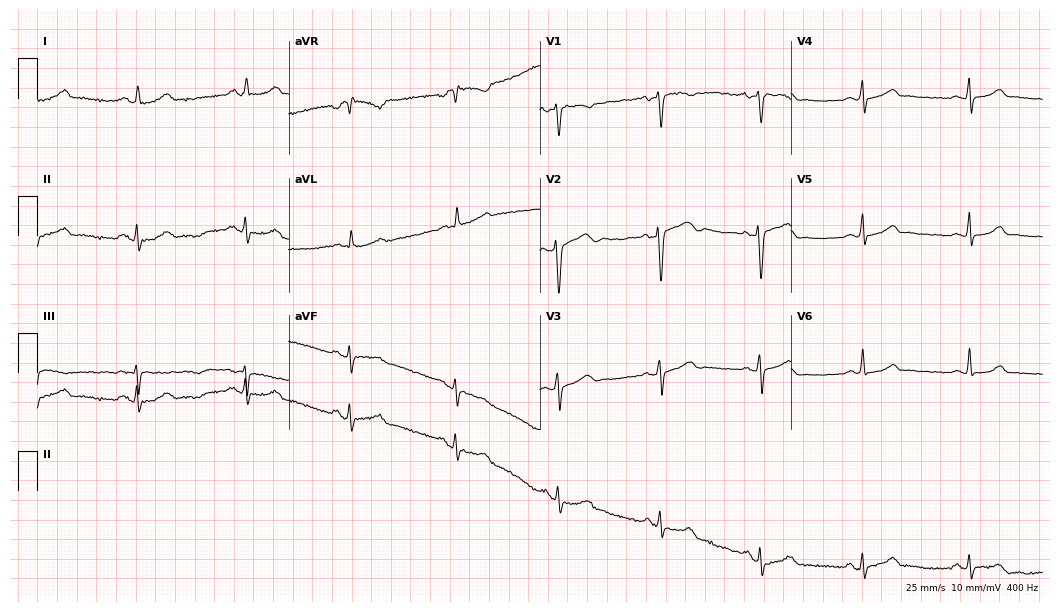
ECG (10.2-second recording at 400 Hz) — a female, 35 years old. Labelled as a normal ECG.